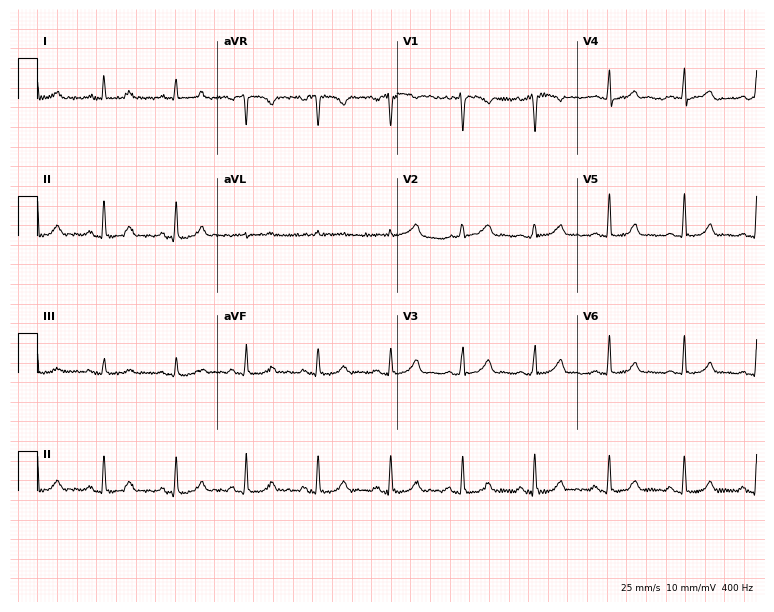
Standard 12-lead ECG recorded from a woman, 20 years old. Read as a normal ECG.